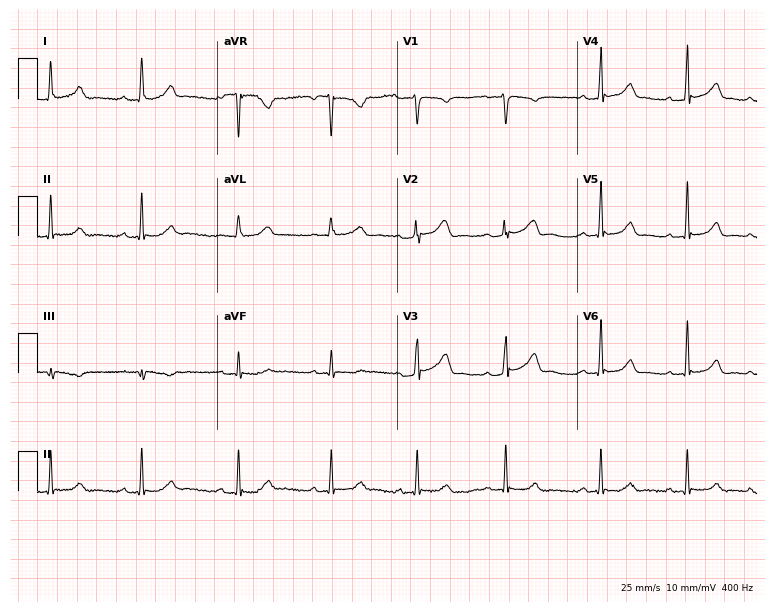
Electrocardiogram, a 22-year-old female. Overall reading on record: normal ECG.